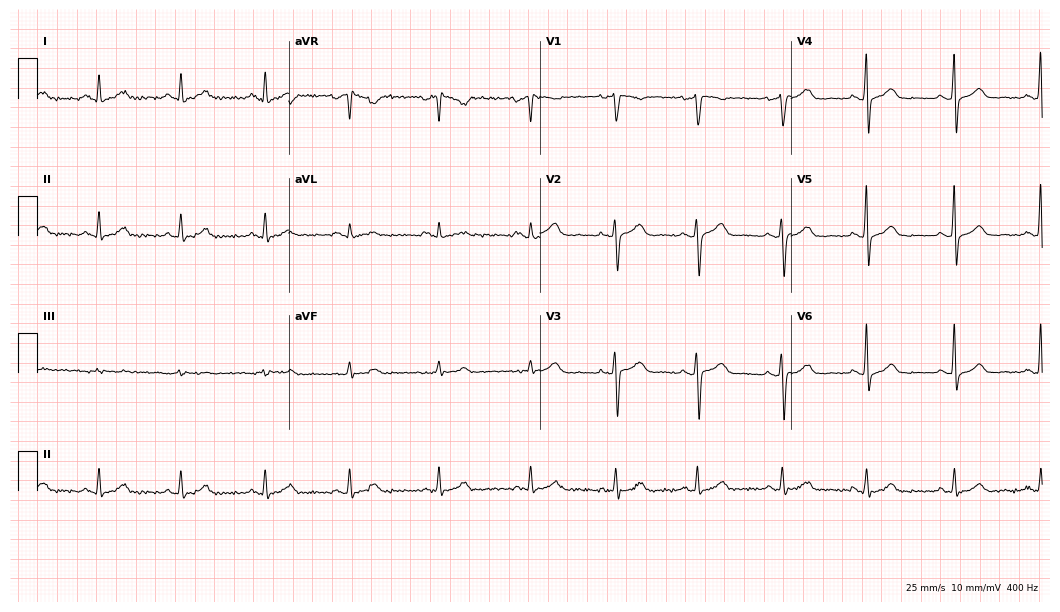
Resting 12-lead electrocardiogram. Patient: a 38-year-old female. Read as a normal ECG.